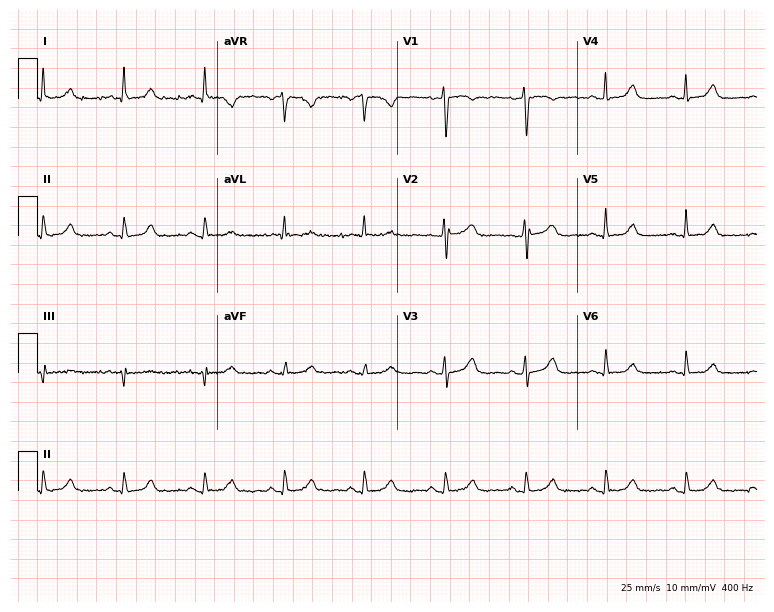
Standard 12-lead ECG recorded from a female patient, 76 years old. Read as a normal ECG.